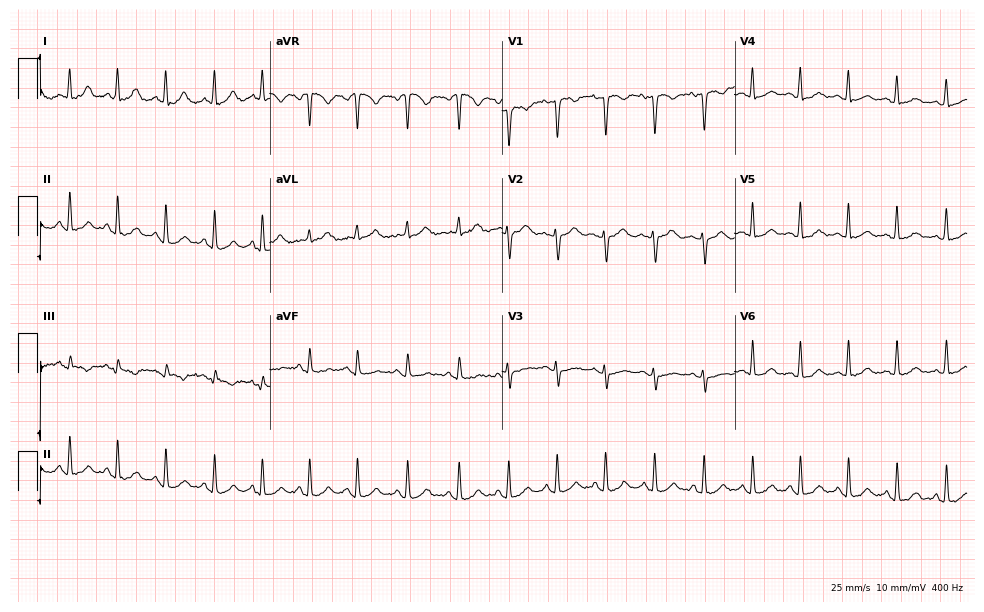
12-lead ECG (9.5-second recording at 400 Hz) from a 31-year-old female. Screened for six findings — first-degree AV block, right bundle branch block (RBBB), left bundle branch block (LBBB), sinus bradycardia, atrial fibrillation (AF), sinus tachycardia — none is recorded.